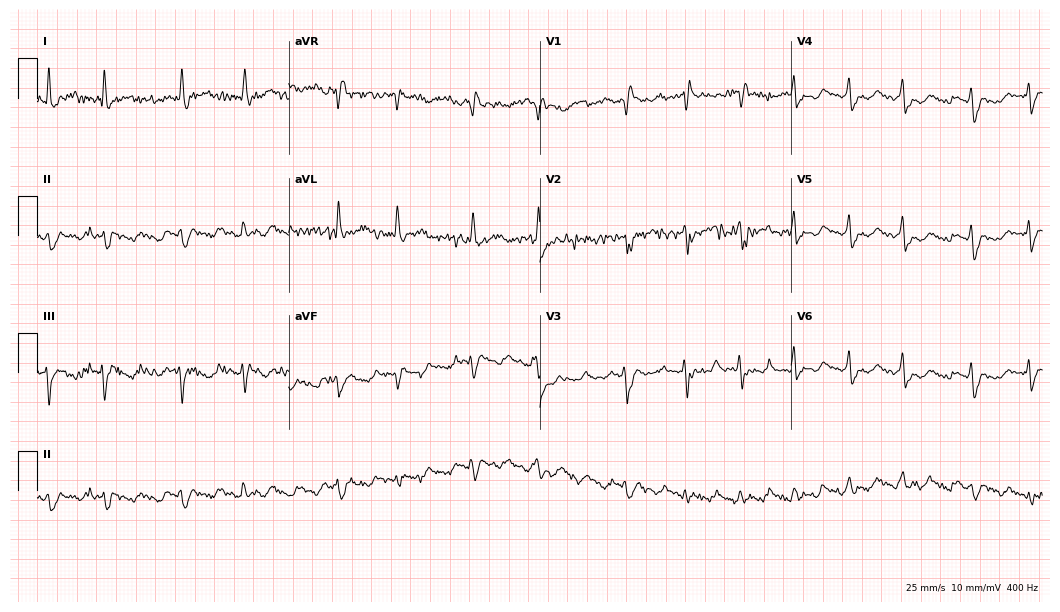
12-lead ECG (10.2-second recording at 400 Hz) from a man, 84 years old. Screened for six findings — first-degree AV block, right bundle branch block (RBBB), left bundle branch block (LBBB), sinus bradycardia, atrial fibrillation (AF), sinus tachycardia — none is recorded. Findings outside these six are not listed.